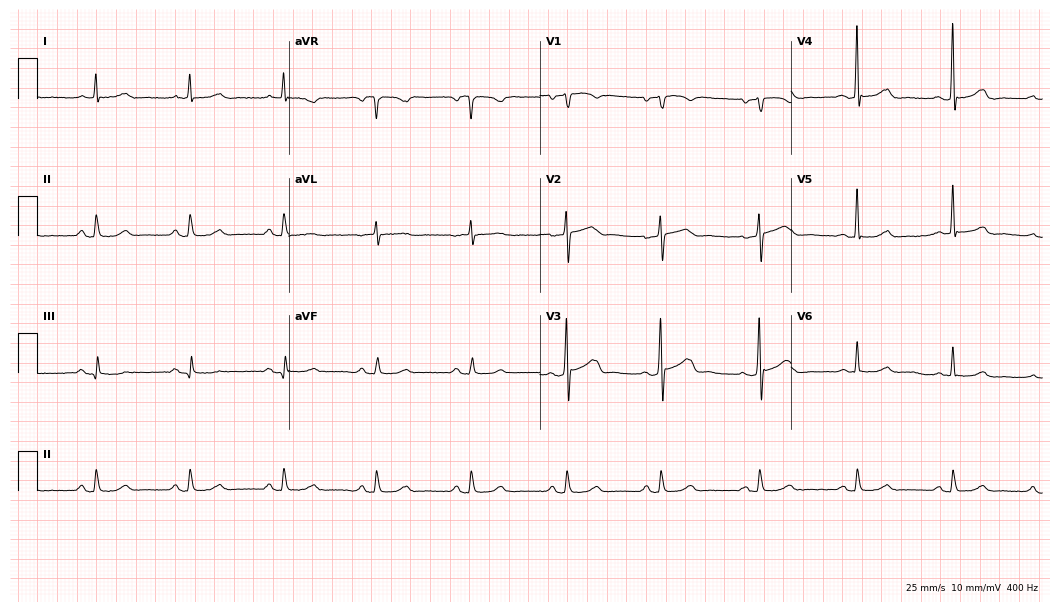
Standard 12-lead ECG recorded from a 78-year-old male. None of these six findings is recorded: first-degree AV block, right bundle branch block (RBBB), left bundle branch block (LBBB), sinus bradycardia, atrial fibrillation (AF), sinus tachycardia. Only these six findings were labelled.